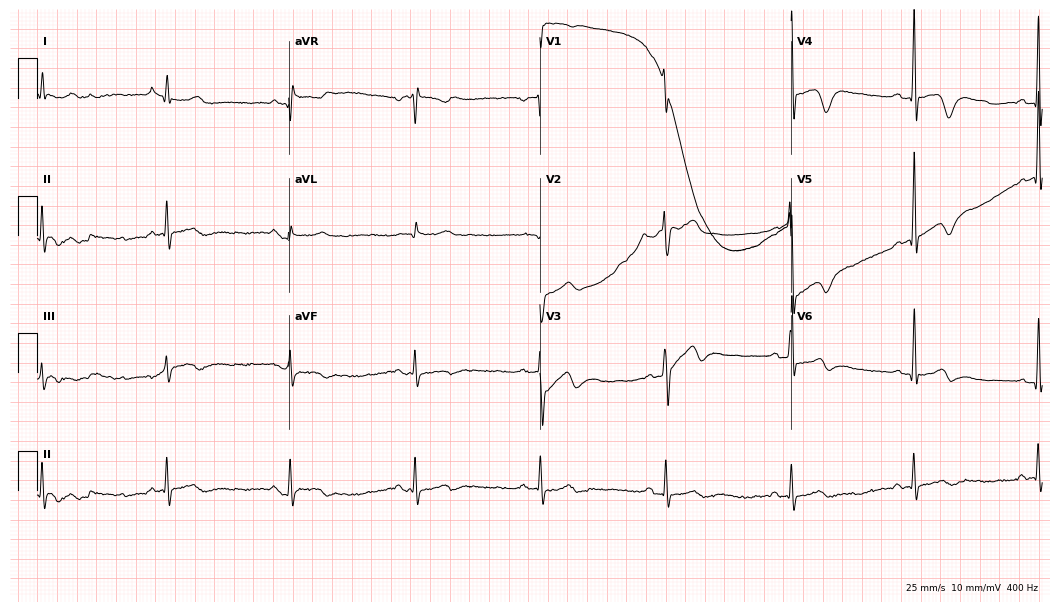
12-lead ECG from an 83-year-old man. Screened for six findings — first-degree AV block, right bundle branch block, left bundle branch block, sinus bradycardia, atrial fibrillation, sinus tachycardia — none is recorded.